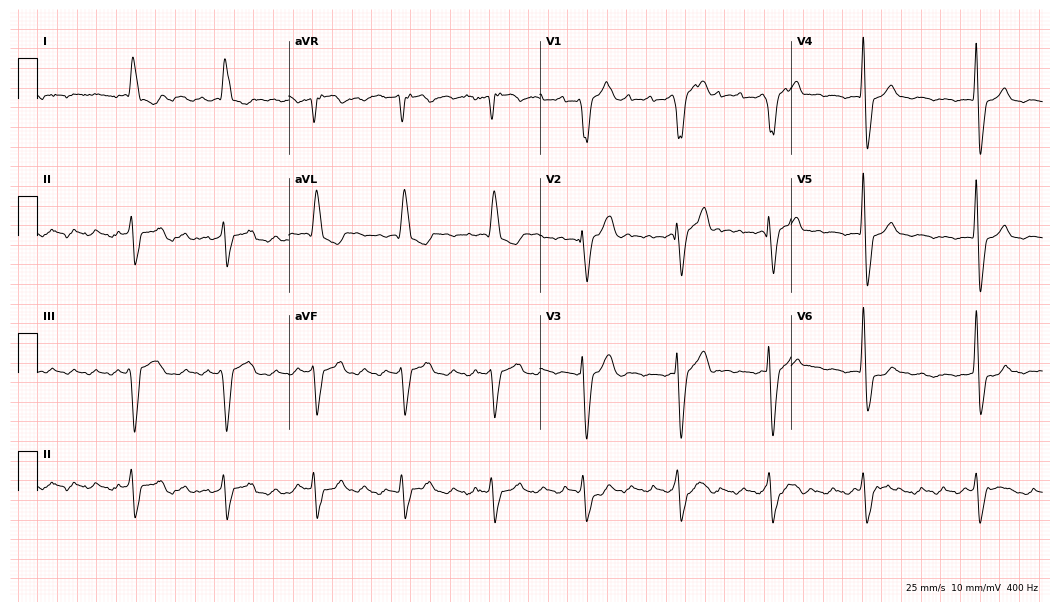
12-lead ECG from a male, 59 years old (10.2-second recording at 400 Hz). Shows left bundle branch block (LBBB).